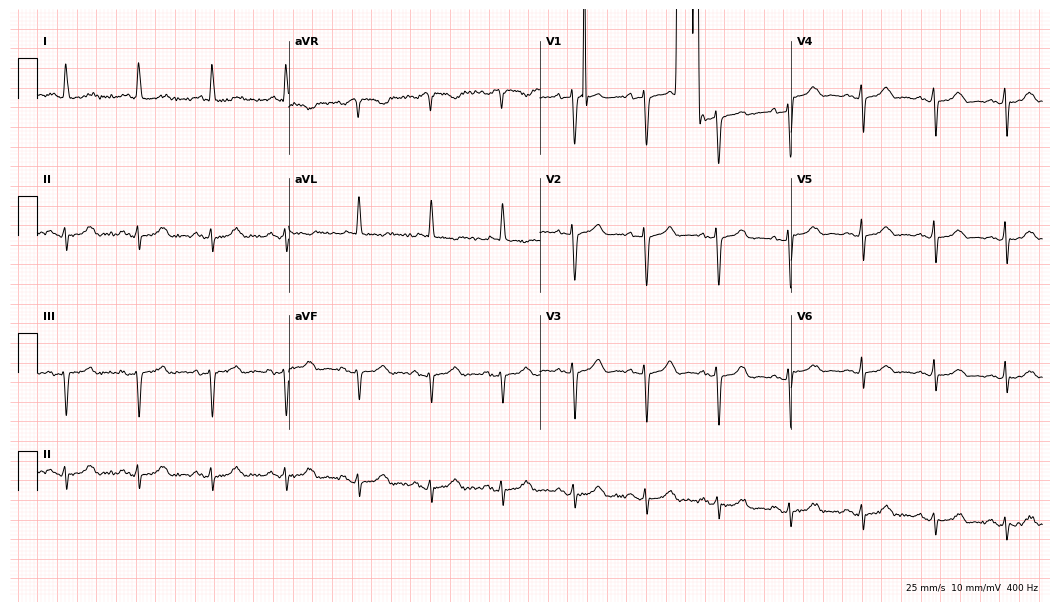
ECG — an 80-year-old woman. Screened for six findings — first-degree AV block, right bundle branch block (RBBB), left bundle branch block (LBBB), sinus bradycardia, atrial fibrillation (AF), sinus tachycardia — none is recorded.